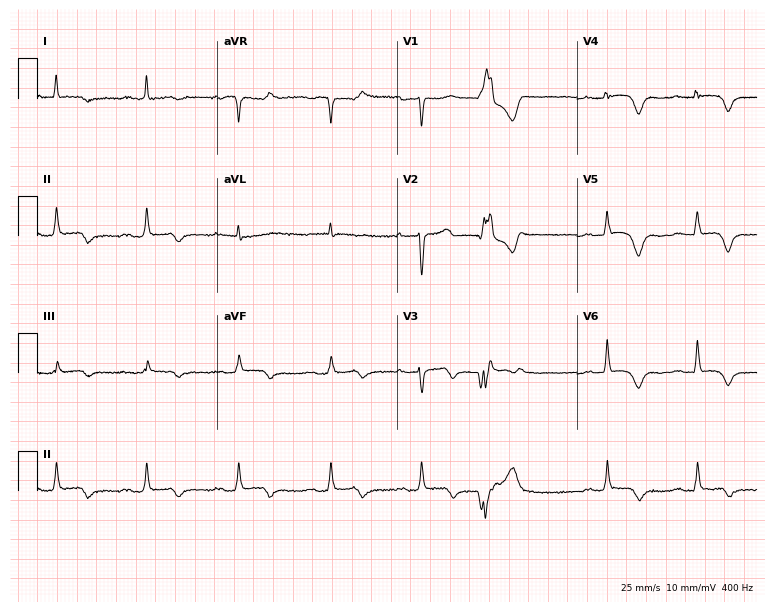
12-lead ECG from a woman, 73 years old. No first-degree AV block, right bundle branch block, left bundle branch block, sinus bradycardia, atrial fibrillation or sinus tachycardia recorded for this tracing. Only these six findings were labelled.